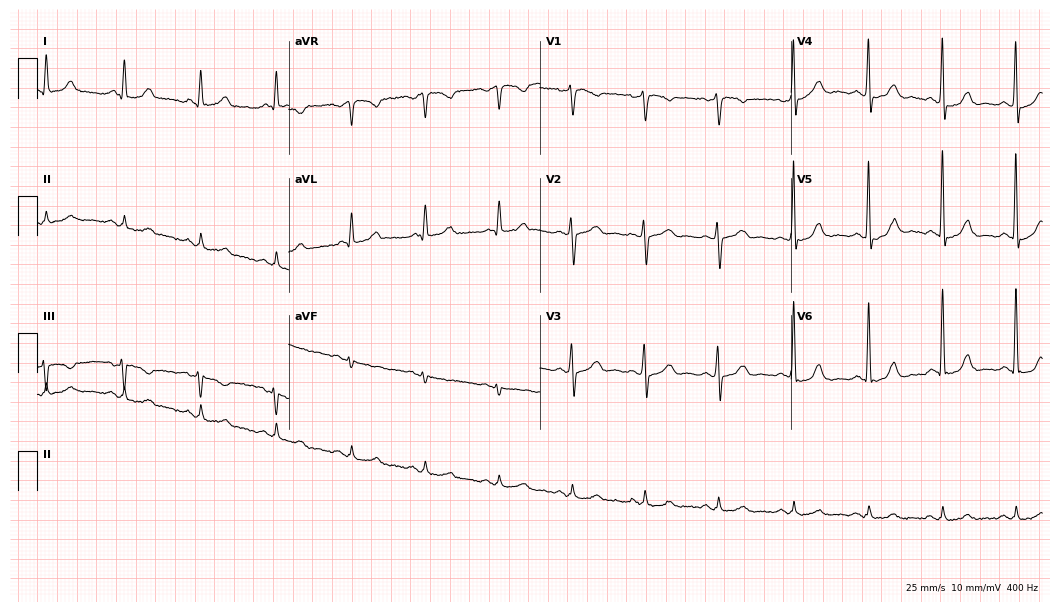
Resting 12-lead electrocardiogram. Patient: a male, 78 years old. Read as a normal ECG.